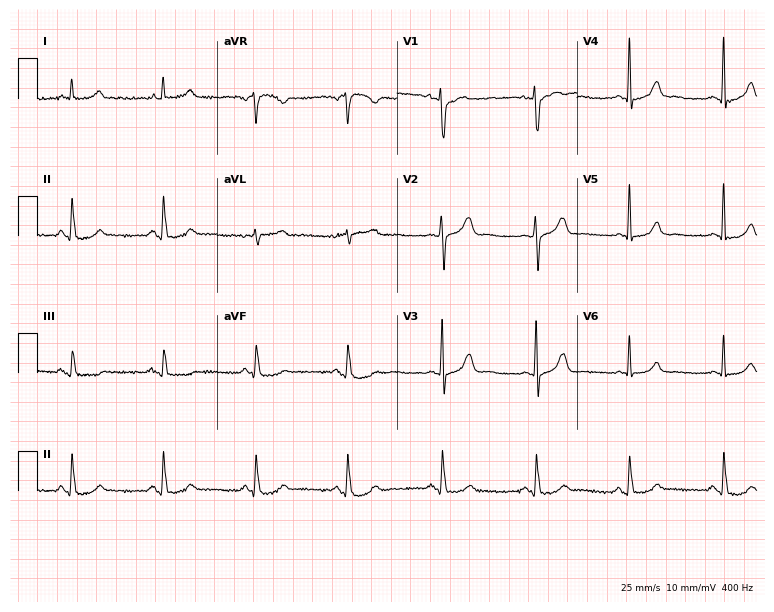
Resting 12-lead electrocardiogram (7.3-second recording at 400 Hz). Patient: a 55-year-old male. None of these six findings is recorded: first-degree AV block, right bundle branch block, left bundle branch block, sinus bradycardia, atrial fibrillation, sinus tachycardia. Only these six findings were labelled.